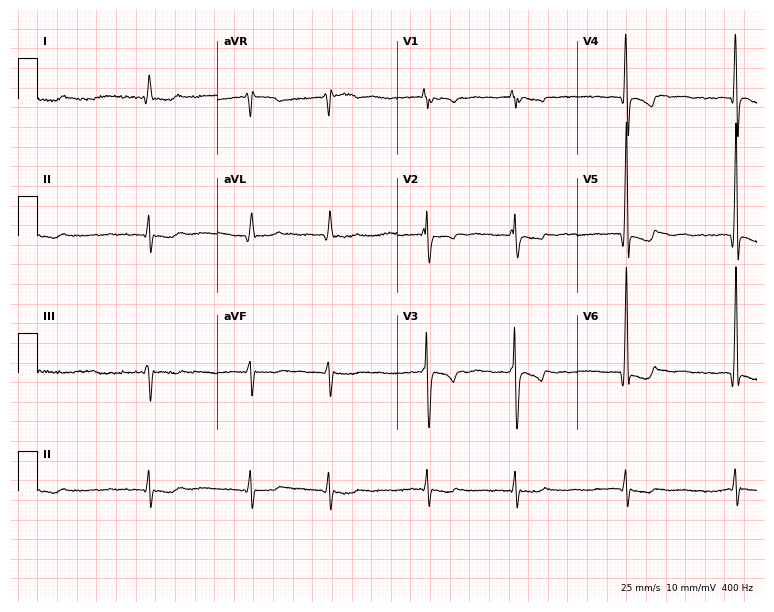
Resting 12-lead electrocardiogram (7.3-second recording at 400 Hz). Patient: an 83-year-old male. The tracing shows atrial fibrillation.